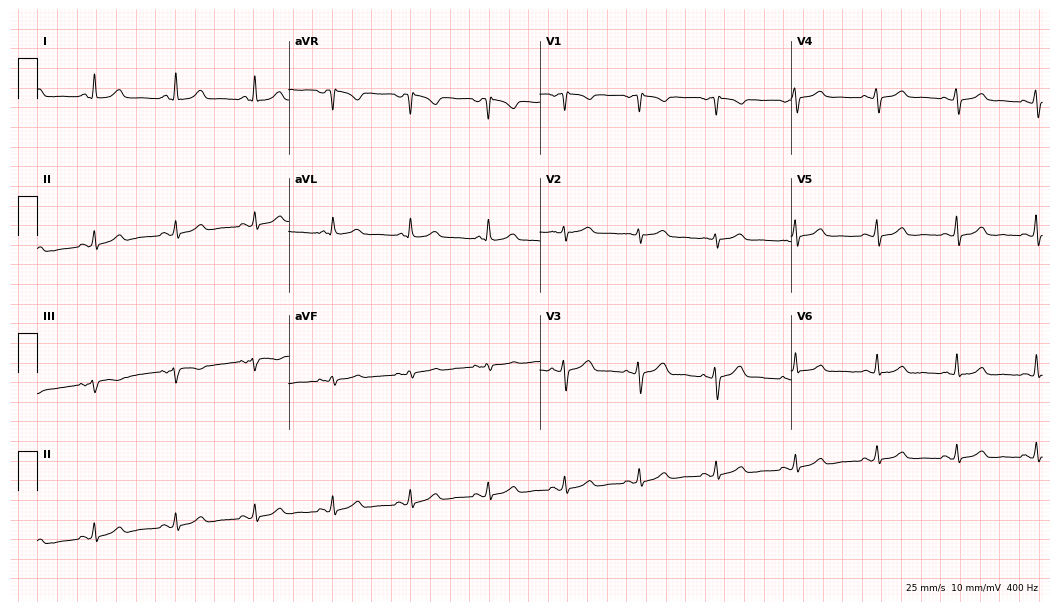
ECG (10.2-second recording at 400 Hz) — a 50-year-old female. Labelled as a normal ECG.